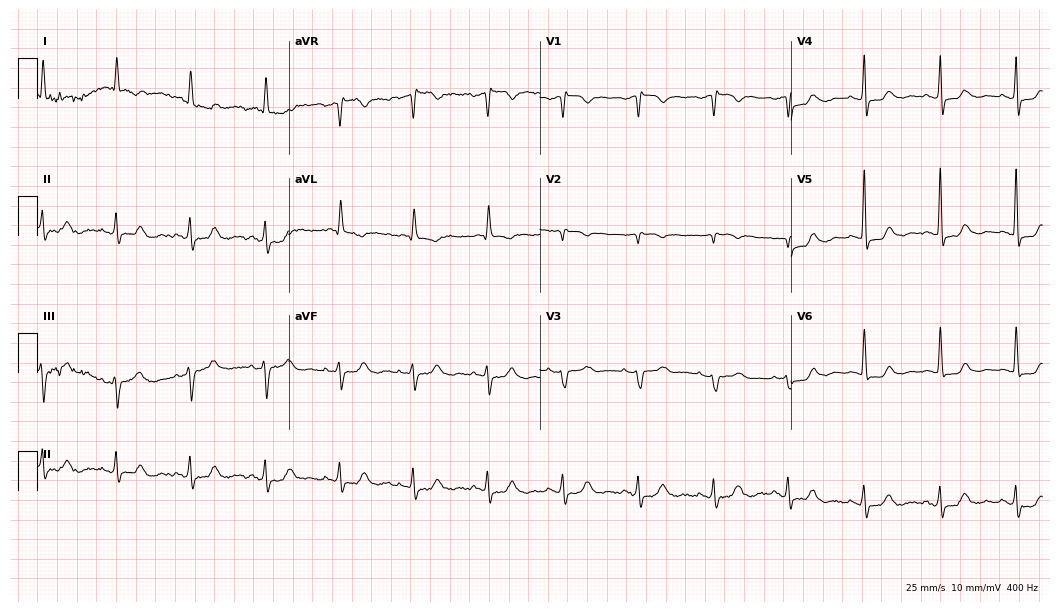
12-lead ECG from an 83-year-old woman (10.2-second recording at 400 Hz). No first-degree AV block, right bundle branch block, left bundle branch block, sinus bradycardia, atrial fibrillation or sinus tachycardia recorded for this tracing.